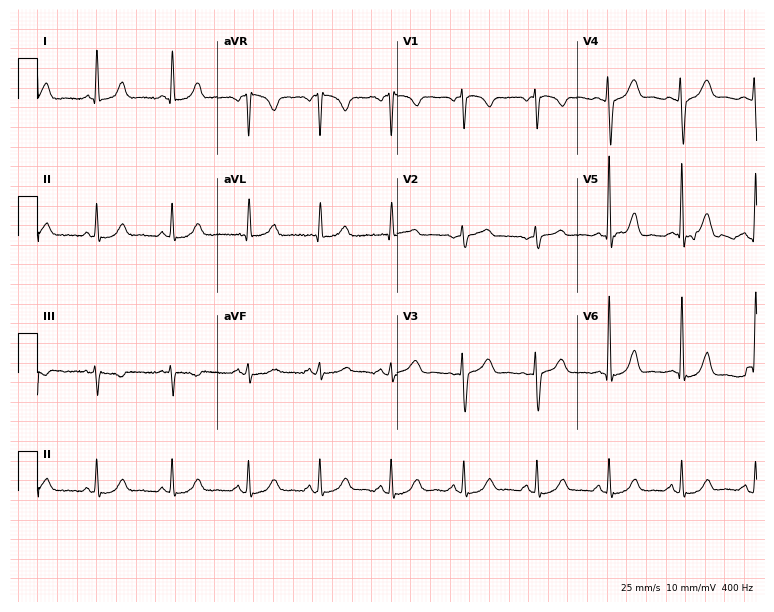
12-lead ECG from a female patient, 36 years old. No first-degree AV block, right bundle branch block, left bundle branch block, sinus bradycardia, atrial fibrillation or sinus tachycardia recorded for this tracing.